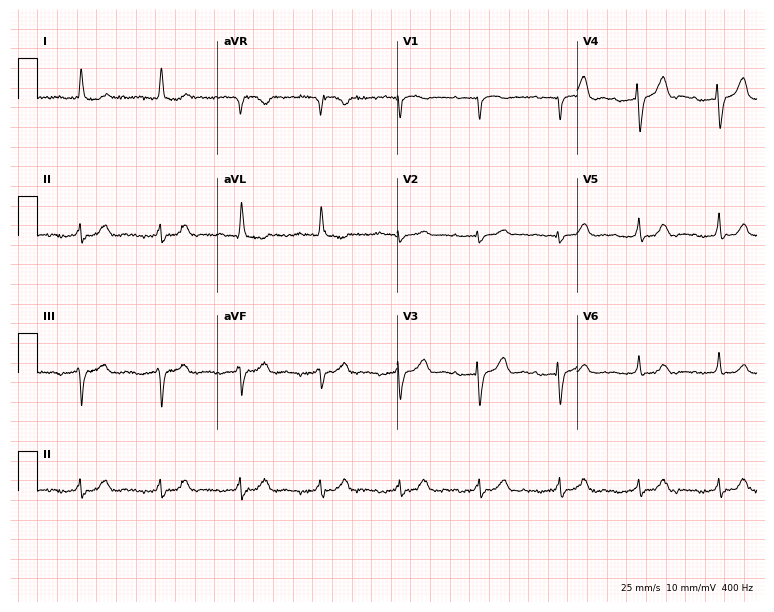
Resting 12-lead electrocardiogram. Patient: a 79-year-old female. None of these six findings is recorded: first-degree AV block, right bundle branch block, left bundle branch block, sinus bradycardia, atrial fibrillation, sinus tachycardia. Only these six findings were labelled.